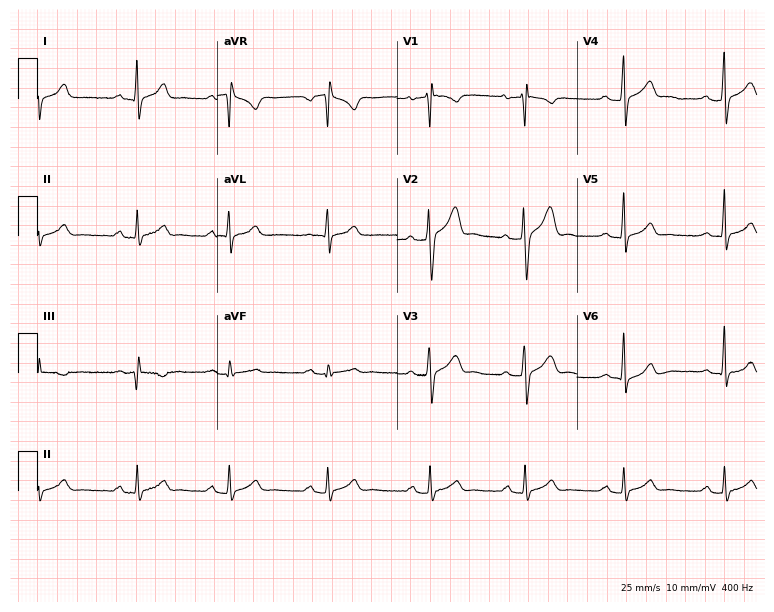
12-lead ECG from a 36-year-old man. No first-degree AV block, right bundle branch block, left bundle branch block, sinus bradycardia, atrial fibrillation or sinus tachycardia recorded for this tracing. Other findings, if any, are not listed.